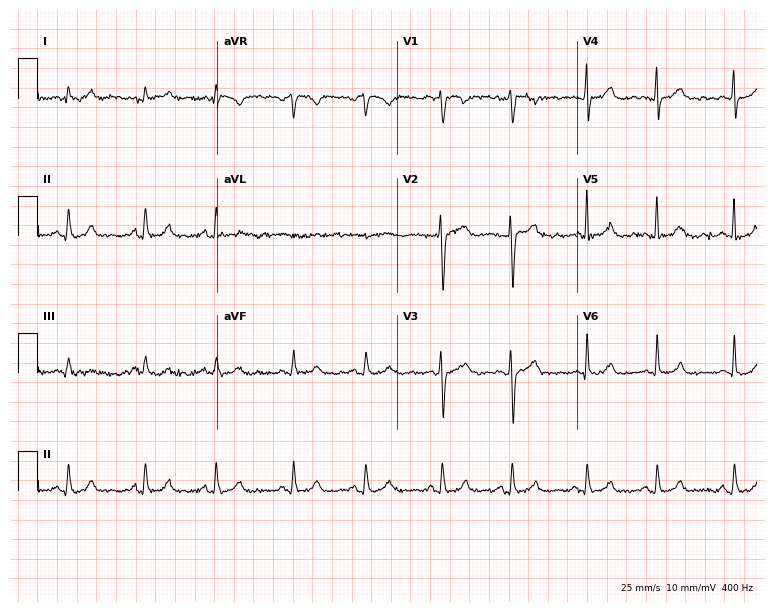
ECG (7.3-second recording at 400 Hz) — a 58-year-old female. Labelled as a normal ECG.